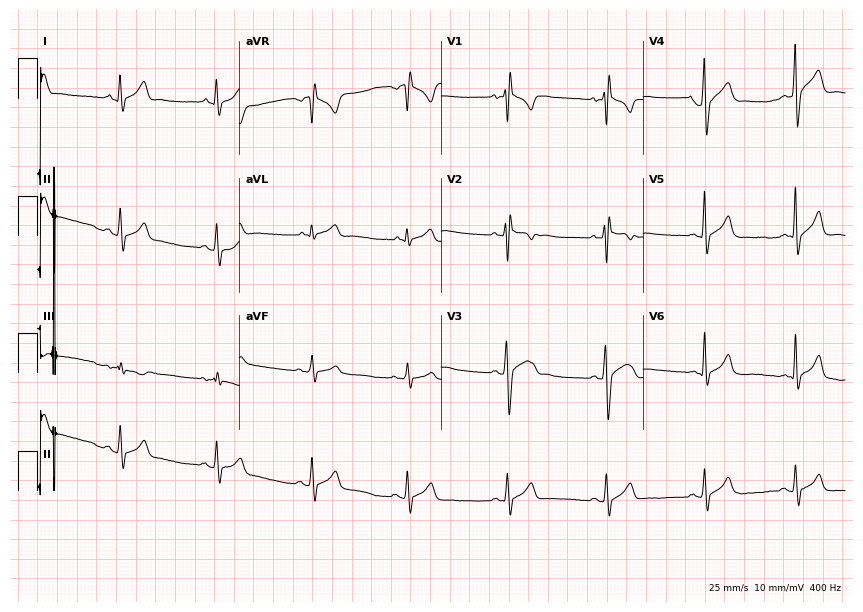
Electrocardiogram (8.2-second recording at 400 Hz), a 25-year-old male. Of the six screened findings (first-degree AV block, right bundle branch block, left bundle branch block, sinus bradycardia, atrial fibrillation, sinus tachycardia), none is recorded. Other findings, if any, are not listed.